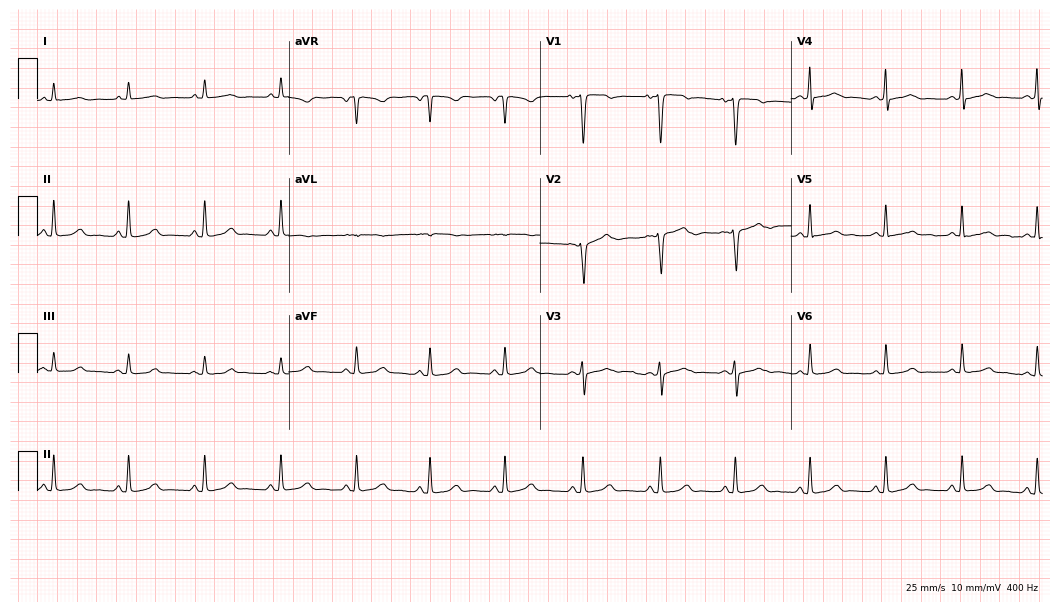
Resting 12-lead electrocardiogram. Patient: a 42-year-old female. Read as a normal ECG.